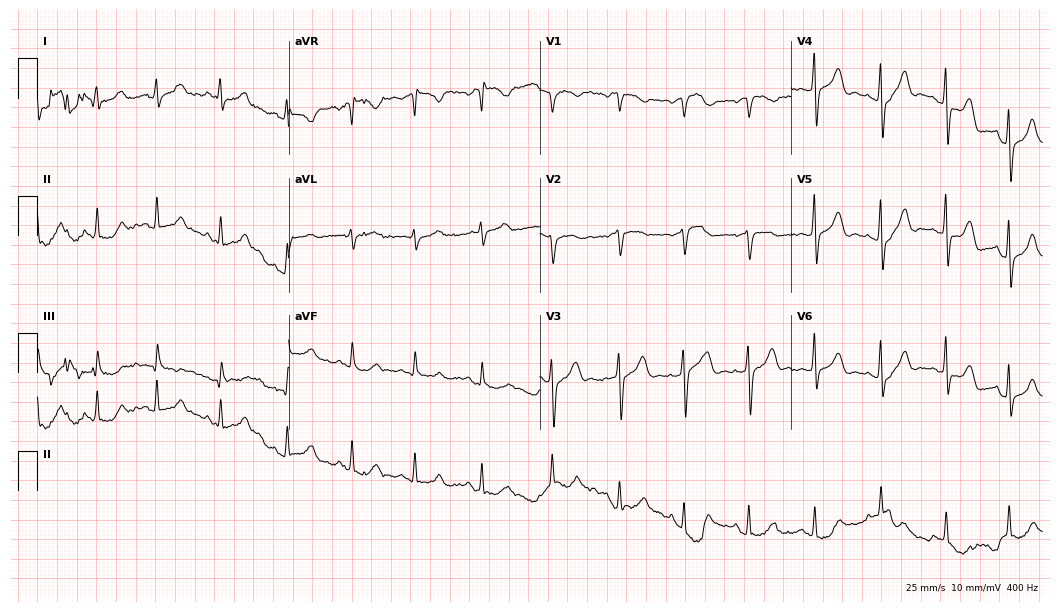
Electrocardiogram, a female patient, 47 years old. Of the six screened findings (first-degree AV block, right bundle branch block, left bundle branch block, sinus bradycardia, atrial fibrillation, sinus tachycardia), none is recorded.